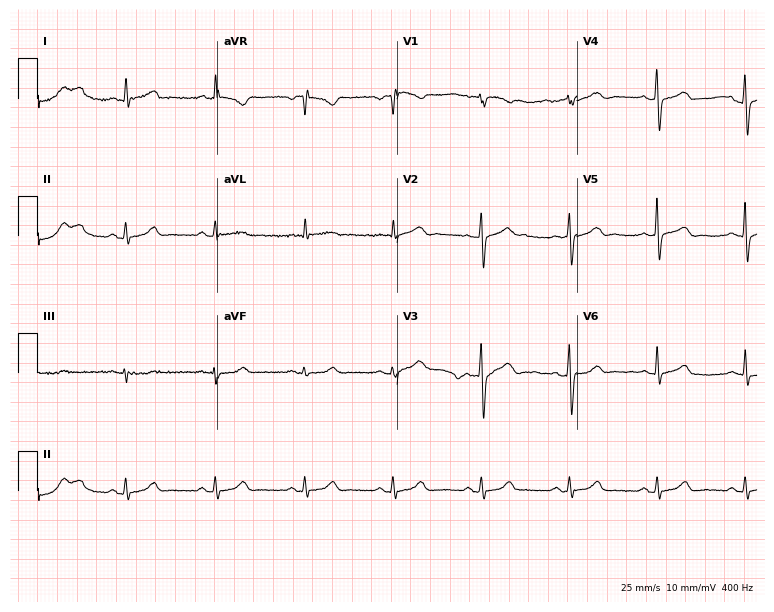
12-lead ECG from a 74-year-old man. Labelled as a normal ECG.